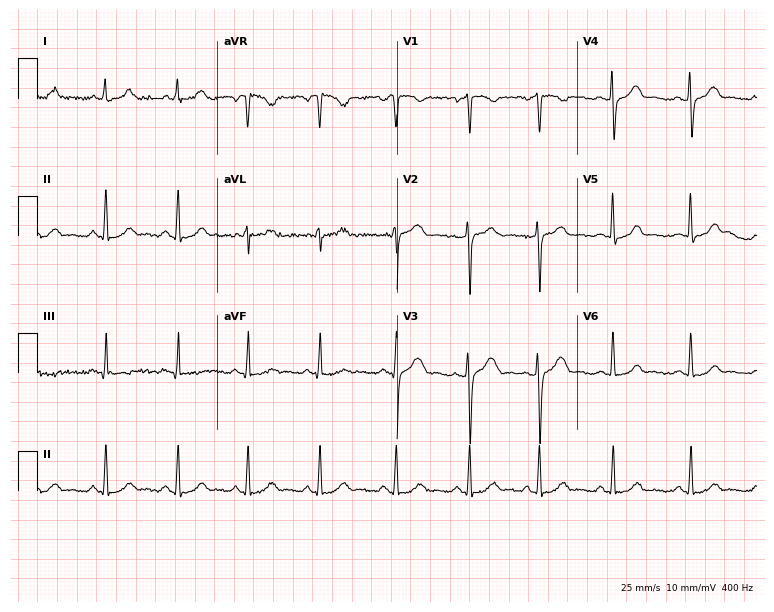
12-lead ECG from a 34-year-old female (7.3-second recording at 400 Hz). Recorded interpretation: within normal limits.